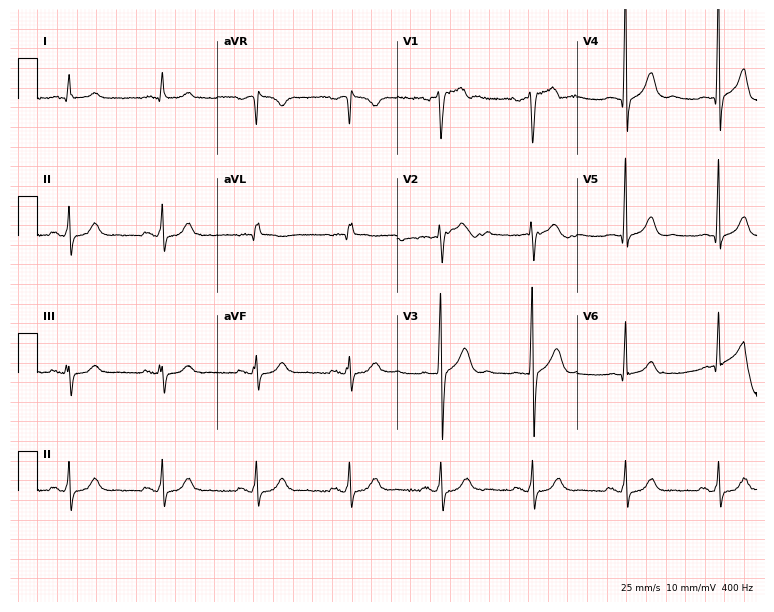
ECG — a 63-year-old male patient. Labelled as a normal ECG.